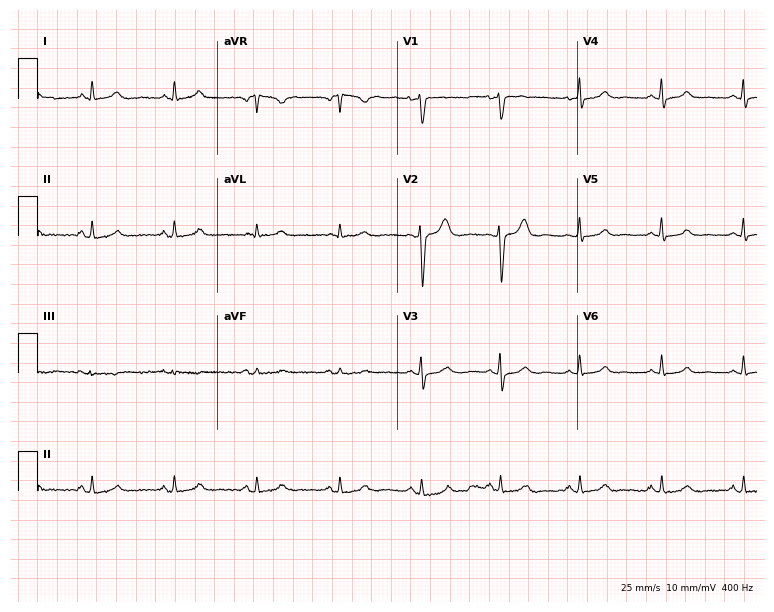
12-lead ECG from a female patient, 49 years old. Screened for six findings — first-degree AV block, right bundle branch block (RBBB), left bundle branch block (LBBB), sinus bradycardia, atrial fibrillation (AF), sinus tachycardia — none is recorded. Only these six findings were labelled.